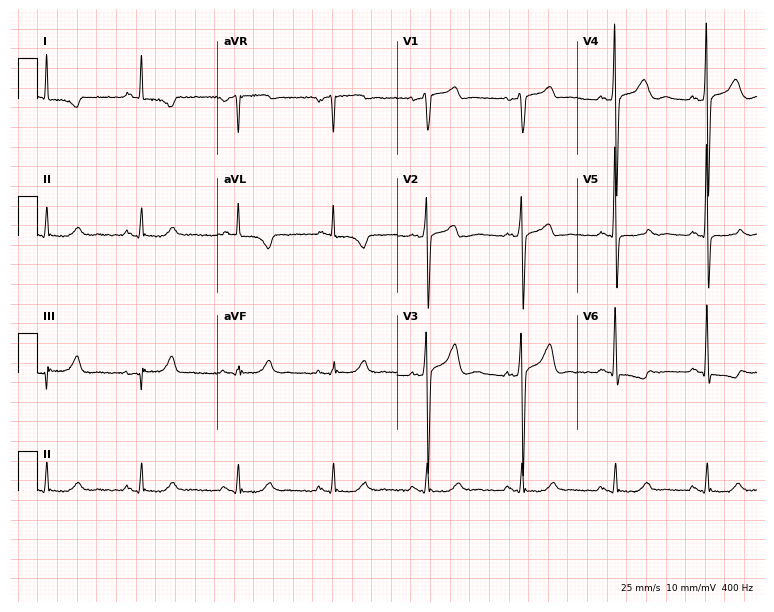
Electrocardiogram (7.3-second recording at 400 Hz), a male, 68 years old. Of the six screened findings (first-degree AV block, right bundle branch block, left bundle branch block, sinus bradycardia, atrial fibrillation, sinus tachycardia), none is recorded. Other findings, if any, are not listed.